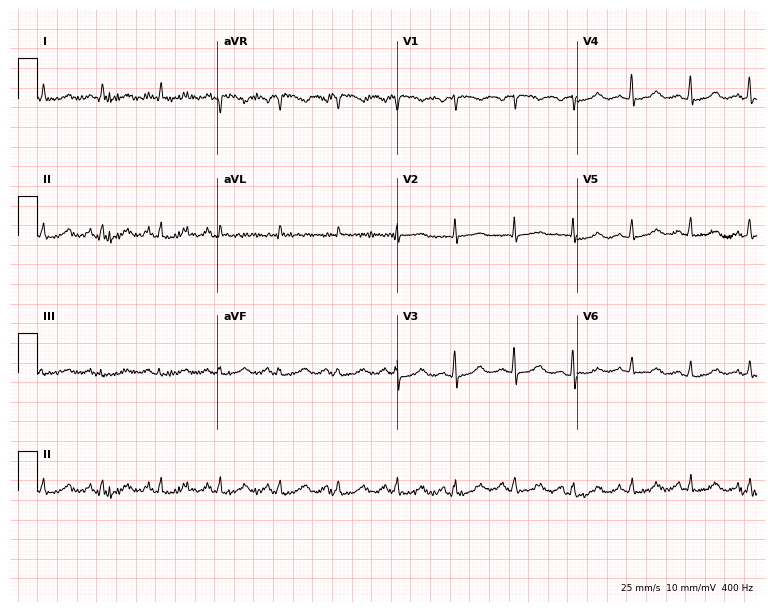
12-lead ECG from a 71-year-old female patient. Screened for six findings — first-degree AV block, right bundle branch block, left bundle branch block, sinus bradycardia, atrial fibrillation, sinus tachycardia — none is recorded.